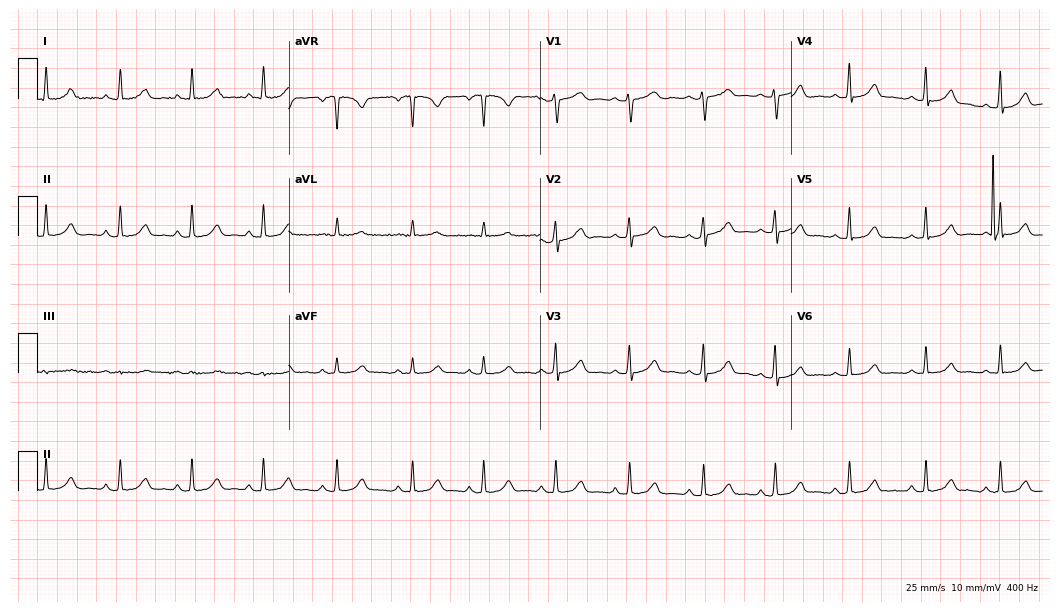
Resting 12-lead electrocardiogram (10.2-second recording at 400 Hz). Patient: a female, 37 years old. Read as a normal ECG.